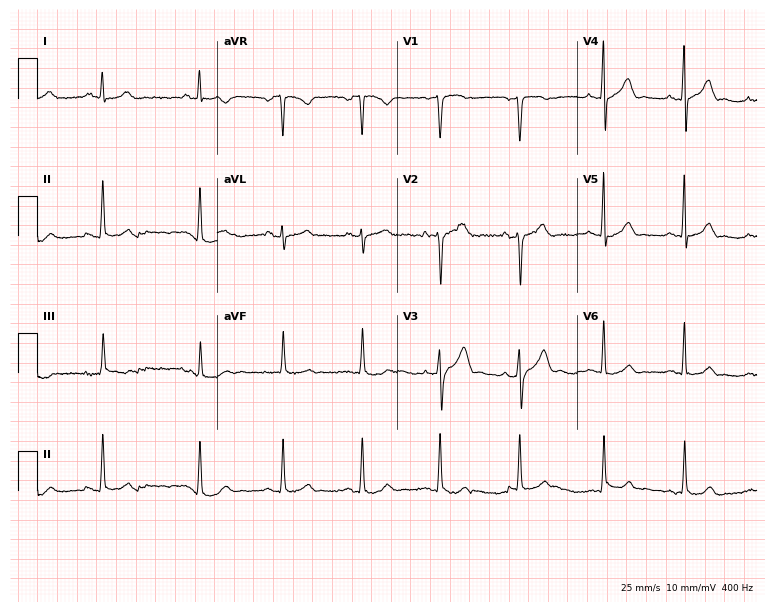
Standard 12-lead ECG recorded from a male patient, 31 years old. Read as a normal ECG.